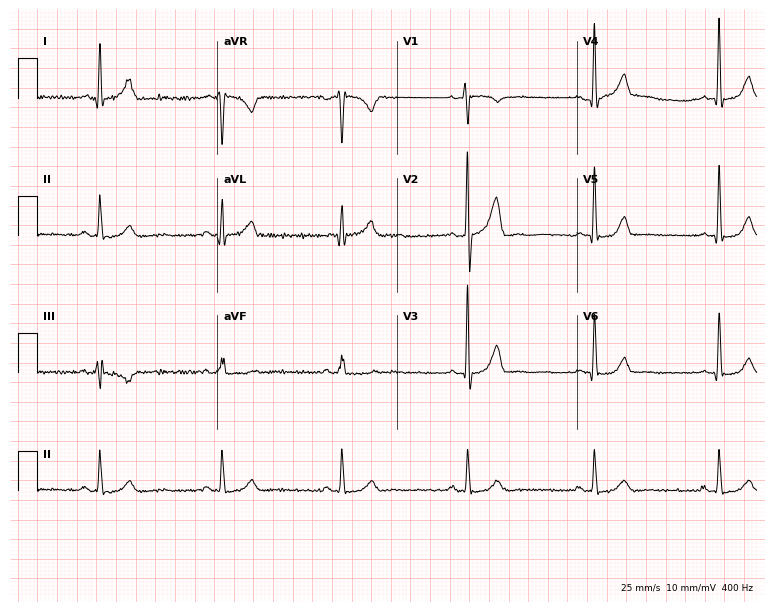
Resting 12-lead electrocardiogram (7.3-second recording at 400 Hz). Patient: a 35-year-old male. None of these six findings is recorded: first-degree AV block, right bundle branch block, left bundle branch block, sinus bradycardia, atrial fibrillation, sinus tachycardia.